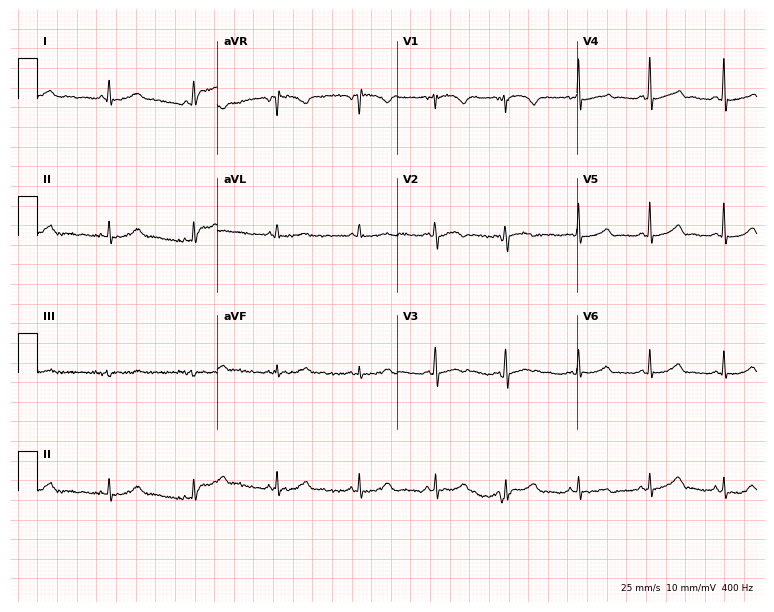
12-lead ECG from a woman, 45 years old. Recorded interpretation: within normal limits.